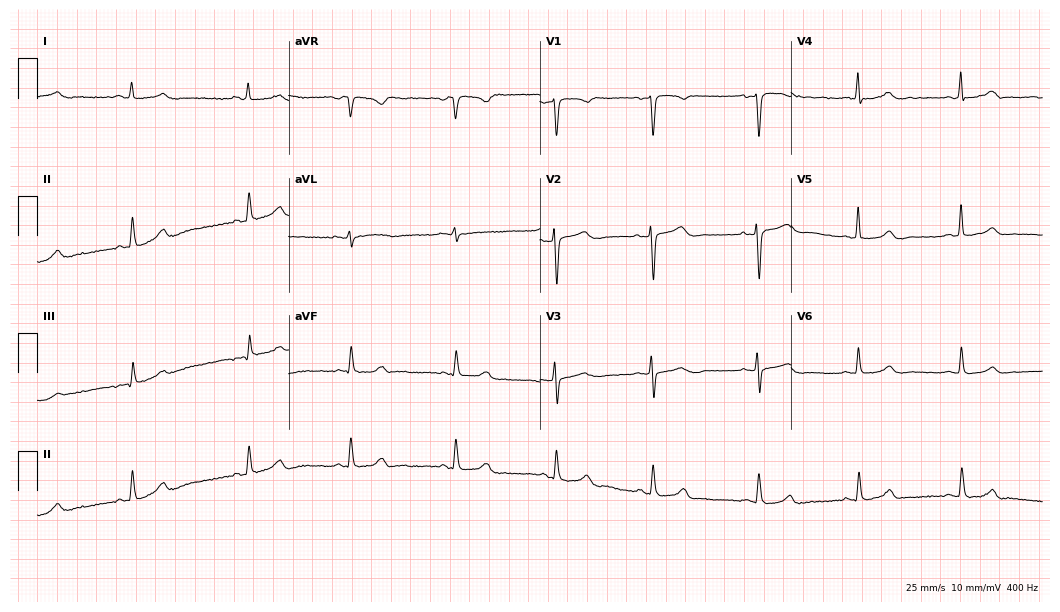
Resting 12-lead electrocardiogram. Patient: a 43-year-old woman. Read as a normal ECG.